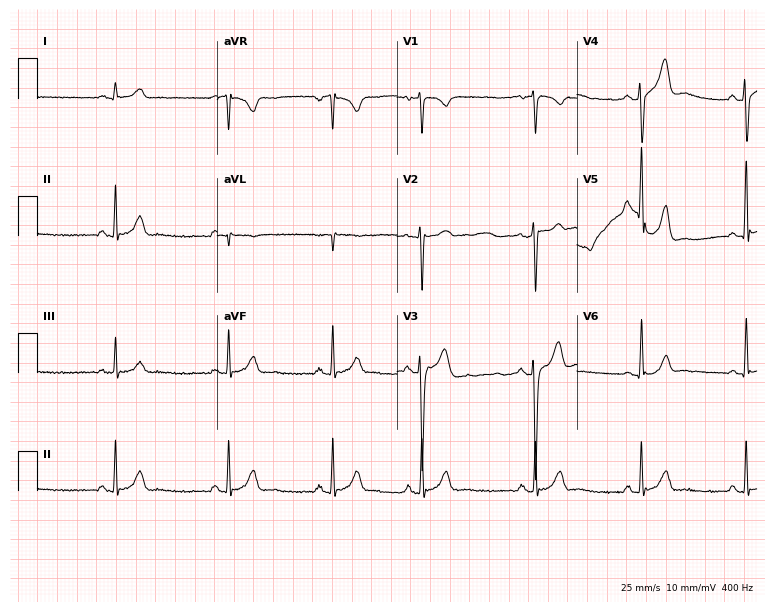
Resting 12-lead electrocardiogram. Patient: a man, 21 years old. Read as a normal ECG.